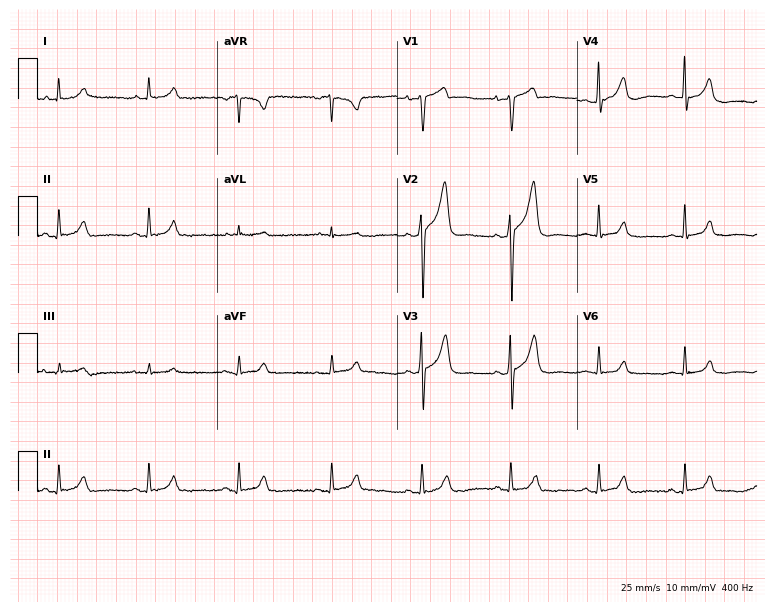
Electrocardiogram, a male patient, 44 years old. Of the six screened findings (first-degree AV block, right bundle branch block (RBBB), left bundle branch block (LBBB), sinus bradycardia, atrial fibrillation (AF), sinus tachycardia), none is recorded. Only these six findings were labelled.